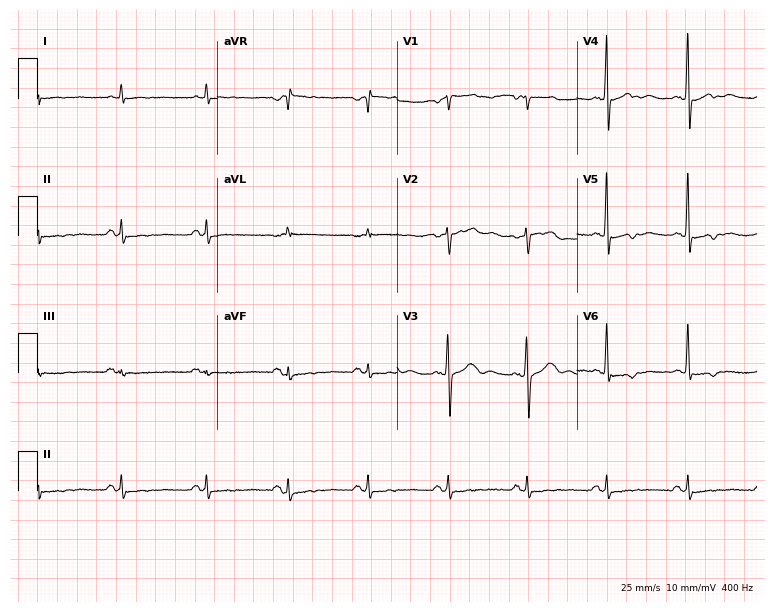
Standard 12-lead ECG recorded from a 58-year-old male patient (7.3-second recording at 400 Hz). None of these six findings is recorded: first-degree AV block, right bundle branch block, left bundle branch block, sinus bradycardia, atrial fibrillation, sinus tachycardia.